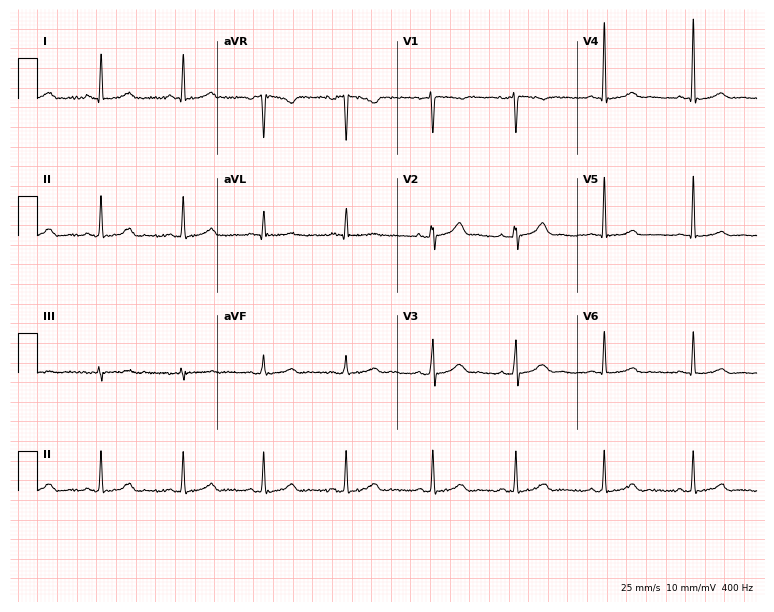
Resting 12-lead electrocardiogram. Patient: a 43-year-old female. Read as a normal ECG.